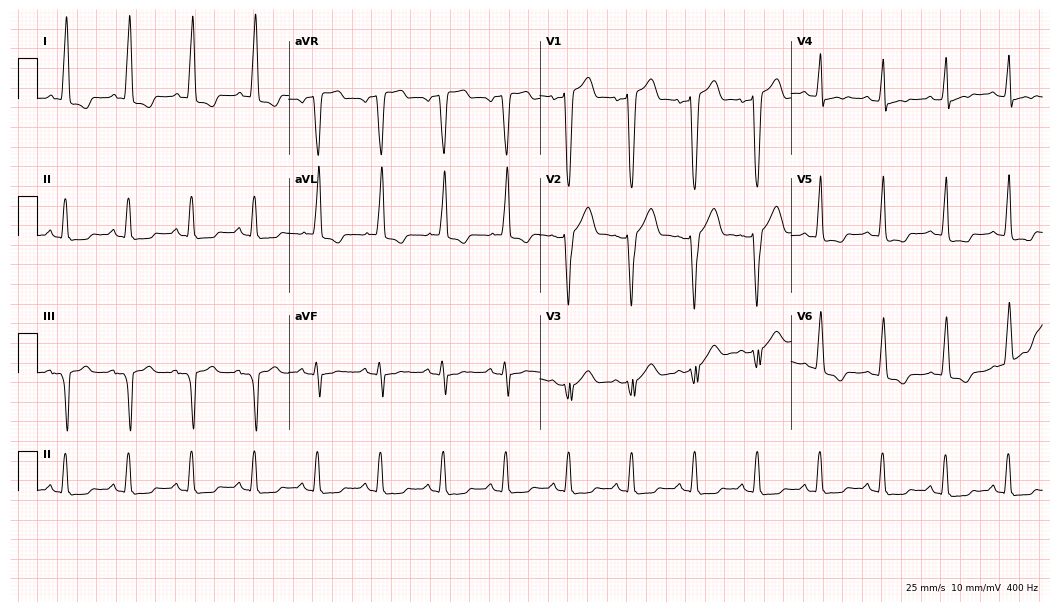
Resting 12-lead electrocardiogram. Patient: a 72-year-old female. Read as a normal ECG.